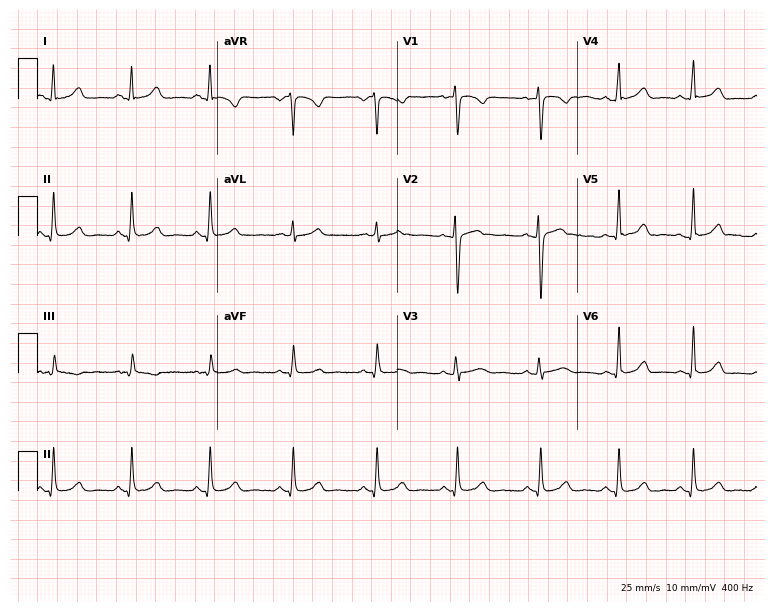
Standard 12-lead ECG recorded from a female, 35 years old. None of these six findings is recorded: first-degree AV block, right bundle branch block, left bundle branch block, sinus bradycardia, atrial fibrillation, sinus tachycardia.